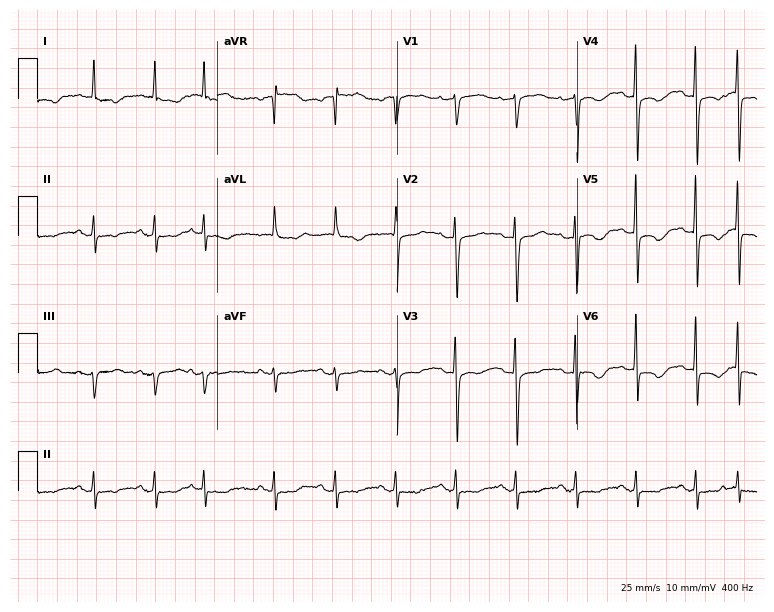
ECG — a female patient, 72 years old. Screened for six findings — first-degree AV block, right bundle branch block, left bundle branch block, sinus bradycardia, atrial fibrillation, sinus tachycardia — none is recorded.